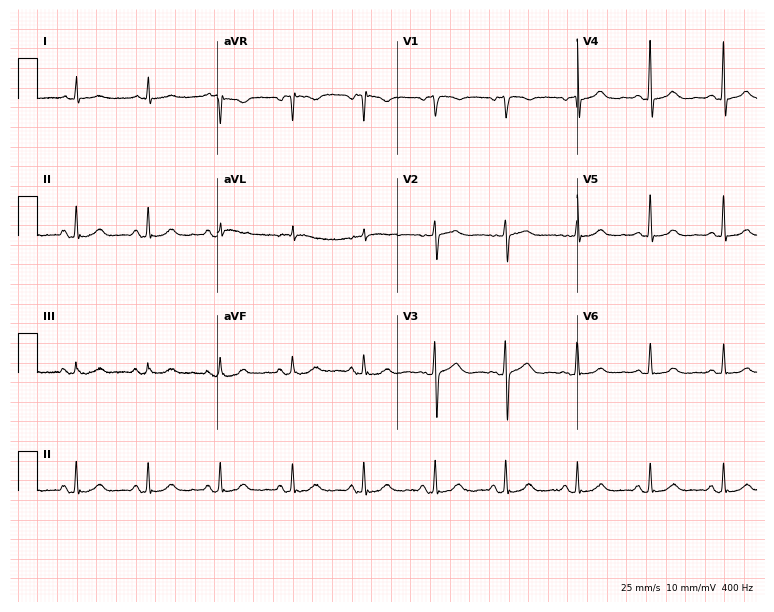
Resting 12-lead electrocardiogram (7.3-second recording at 400 Hz). Patient: a female, 70 years old. Read as a normal ECG.